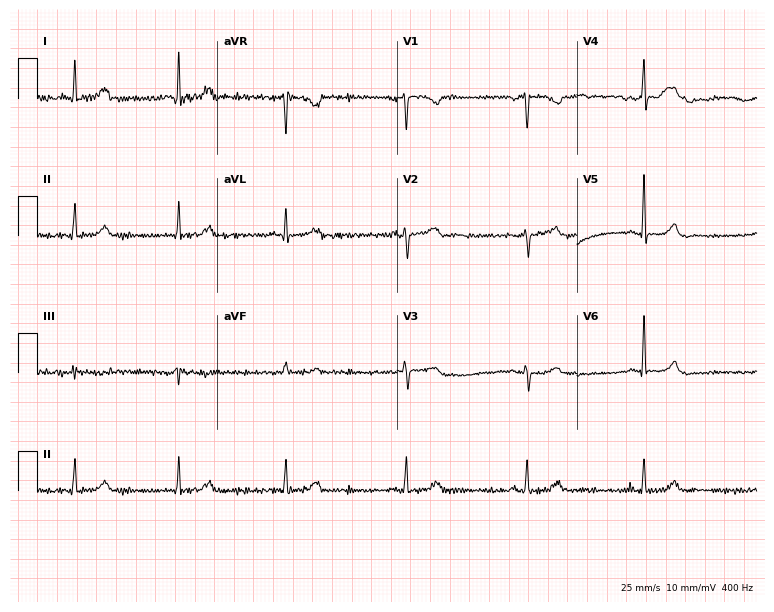
ECG (7.3-second recording at 400 Hz) — a 44-year-old female. Labelled as a normal ECG.